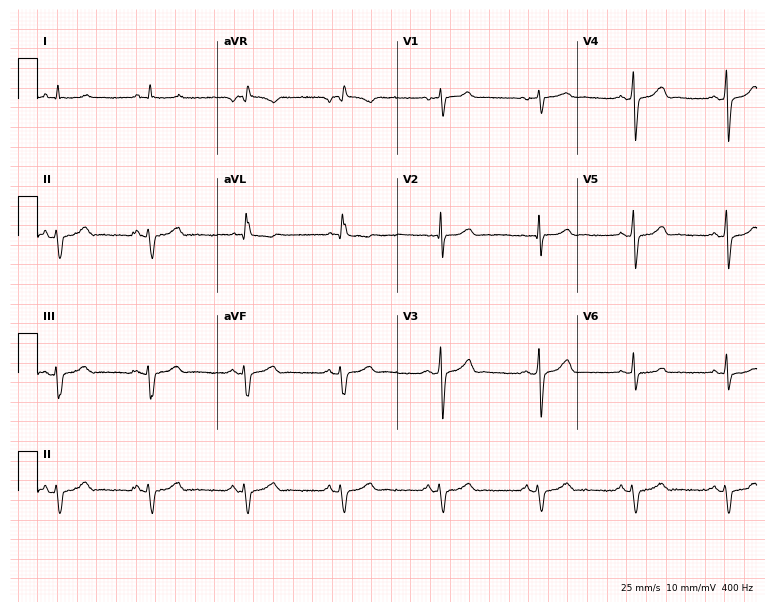
Electrocardiogram, a male patient, 69 years old. Of the six screened findings (first-degree AV block, right bundle branch block, left bundle branch block, sinus bradycardia, atrial fibrillation, sinus tachycardia), none is recorded.